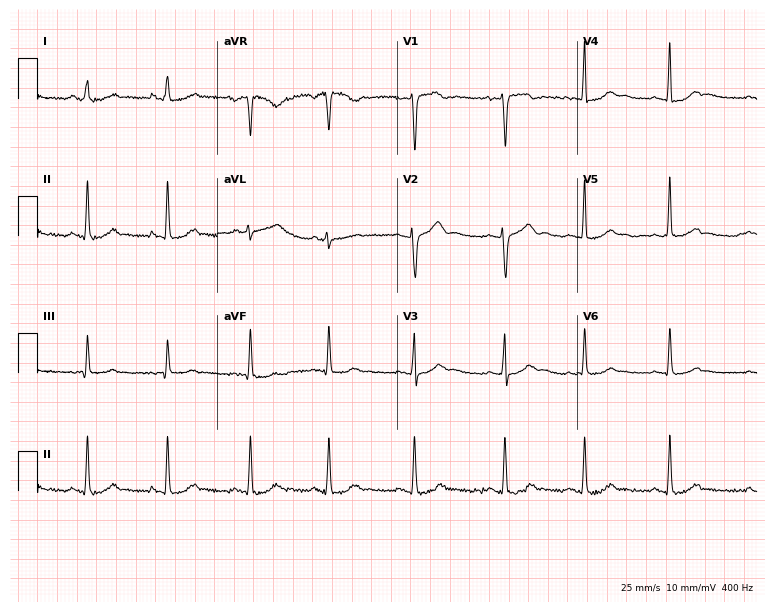
Standard 12-lead ECG recorded from a 24-year-old female patient (7.3-second recording at 400 Hz). Read as a normal ECG.